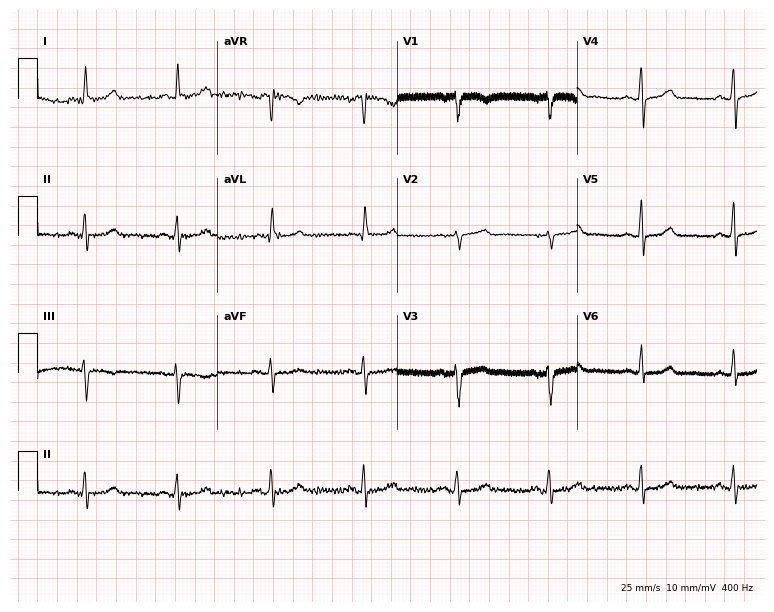
Resting 12-lead electrocardiogram (7.3-second recording at 400 Hz). Patient: a 71-year-old woman. Read as a normal ECG.